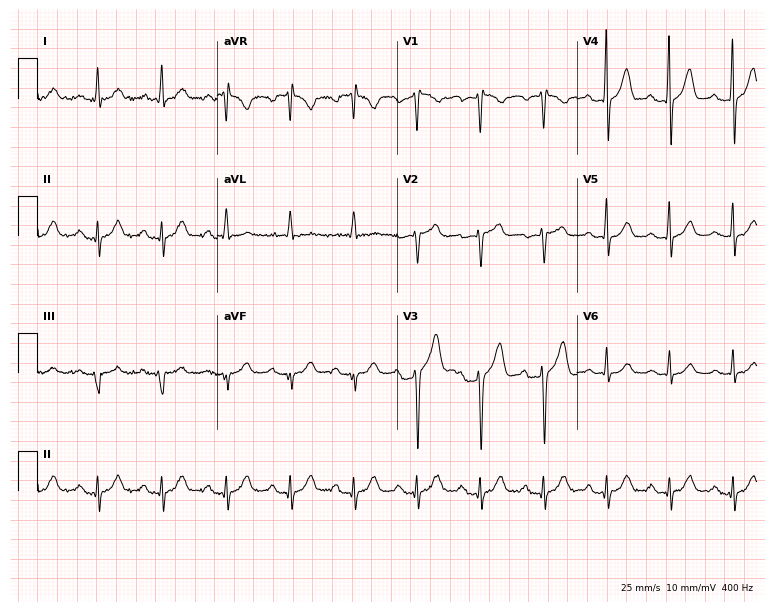
ECG — a 46-year-old man. Labelled as a normal ECG.